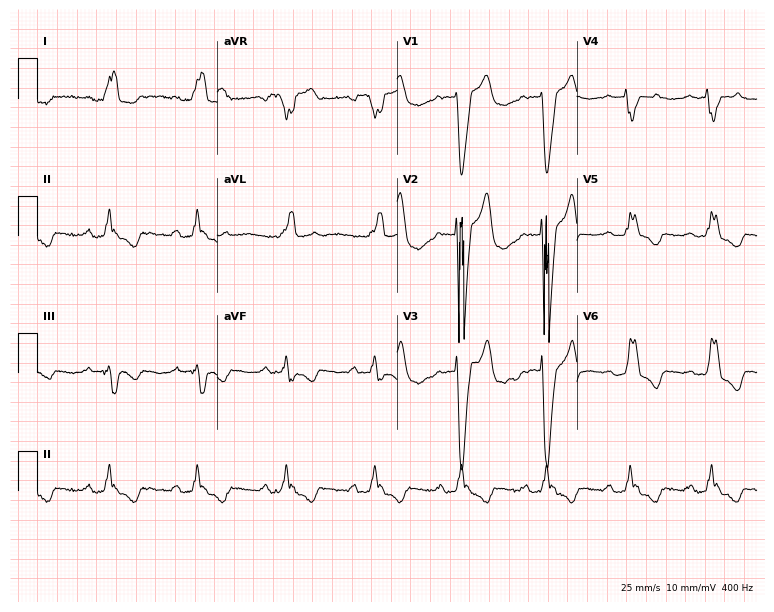
Resting 12-lead electrocardiogram (7.3-second recording at 400 Hz). Patient: a 49-year-old male. The tracing shows left bundle branch block.